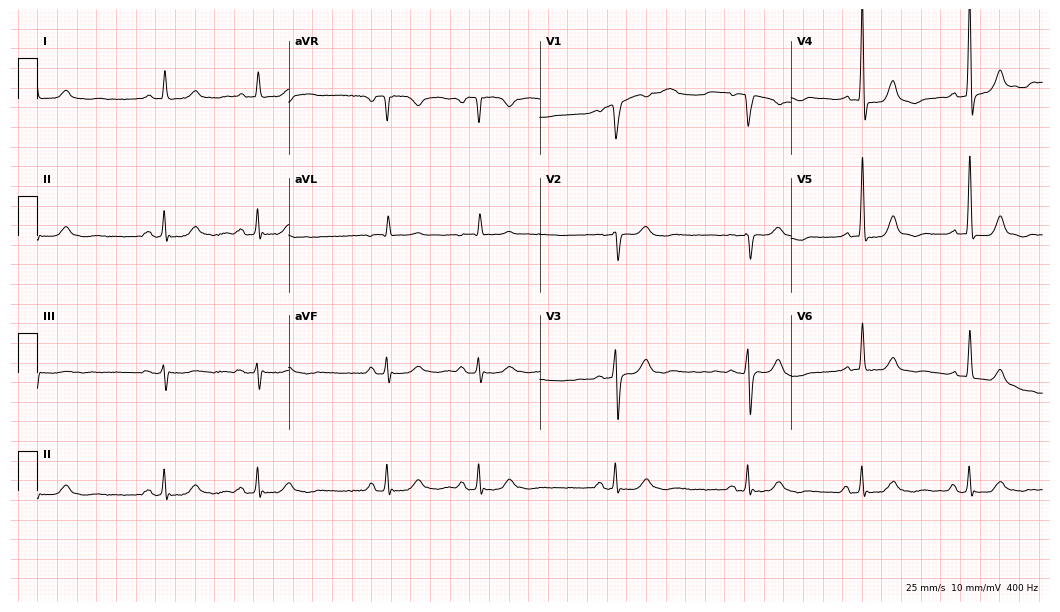
ECG (10.2-second recording at 400 Hz) — an 86-year-old male patient. Screened for six findings — first-degree AV block, right bundle branch block (RBBB), left bundle branch block (LBBB), sinus bradycardia, atrial fibrillation (AF), sinus tachycardia — none is recorded. Other findings, if any, are not listed.